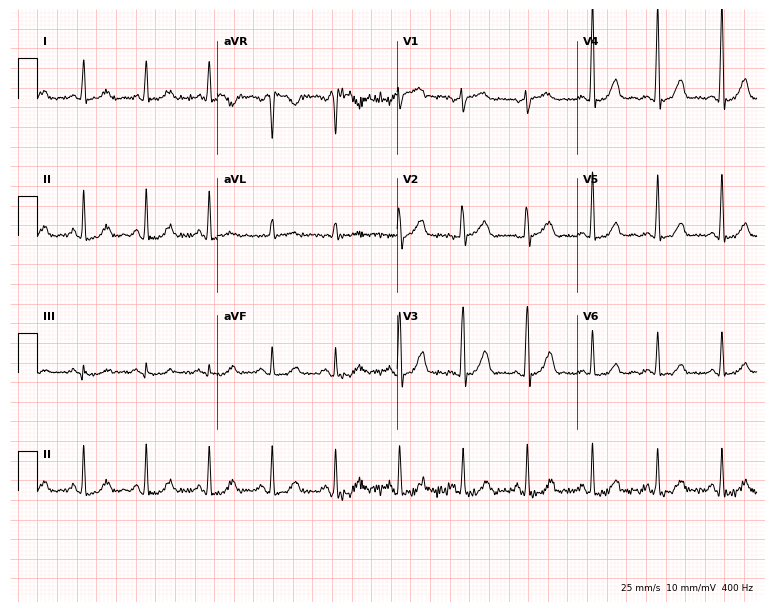
Resting 12-lead electrocardiogram (7.3-second recording at 400 Hz). Patient: a 63-year-old woman. Read as a normal ECG.